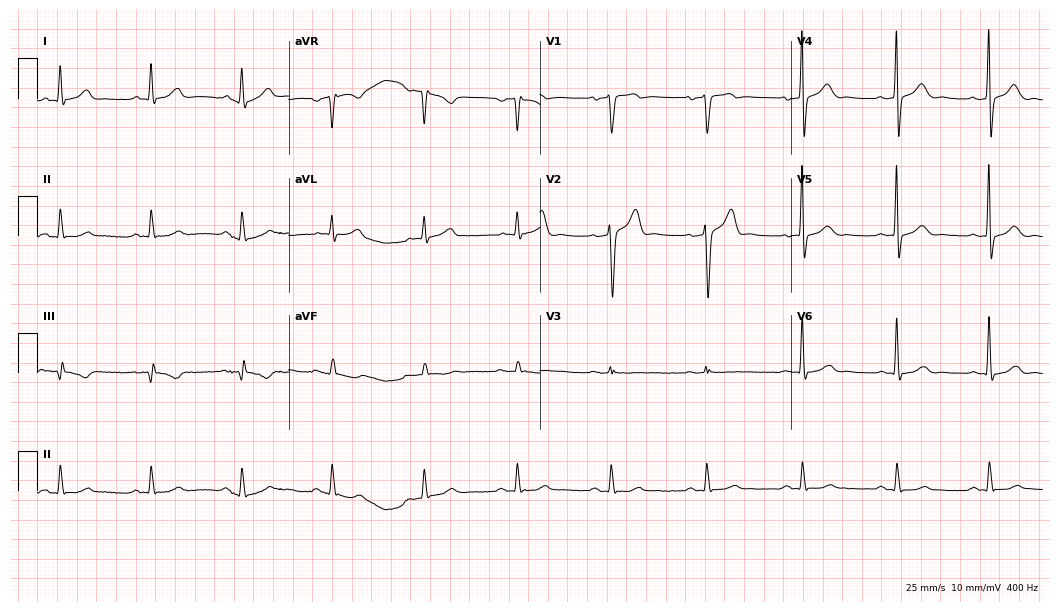
Electrocardiogram (10.2-second recording at 400 Hz), a man, 67 years old. Of the six screened findings (first-degree AV block, right bundle branch block, left bundle branch block, sinus bradycardia, atrial fibrillation, sinus tachycardia), none is recorded.